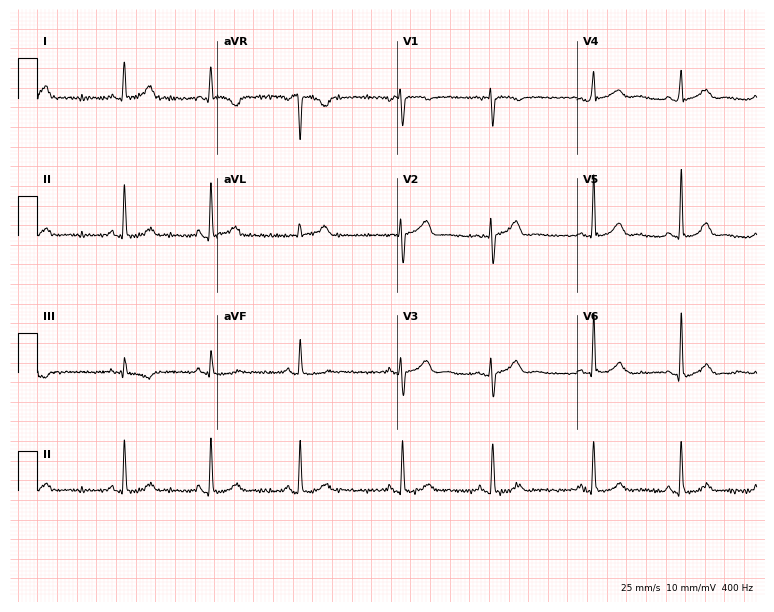
Resting 12-lead electrocardiogram (7.3-second recording at 400 Hz). Patient: a woman, 39 years old. Read as a normal ECG.